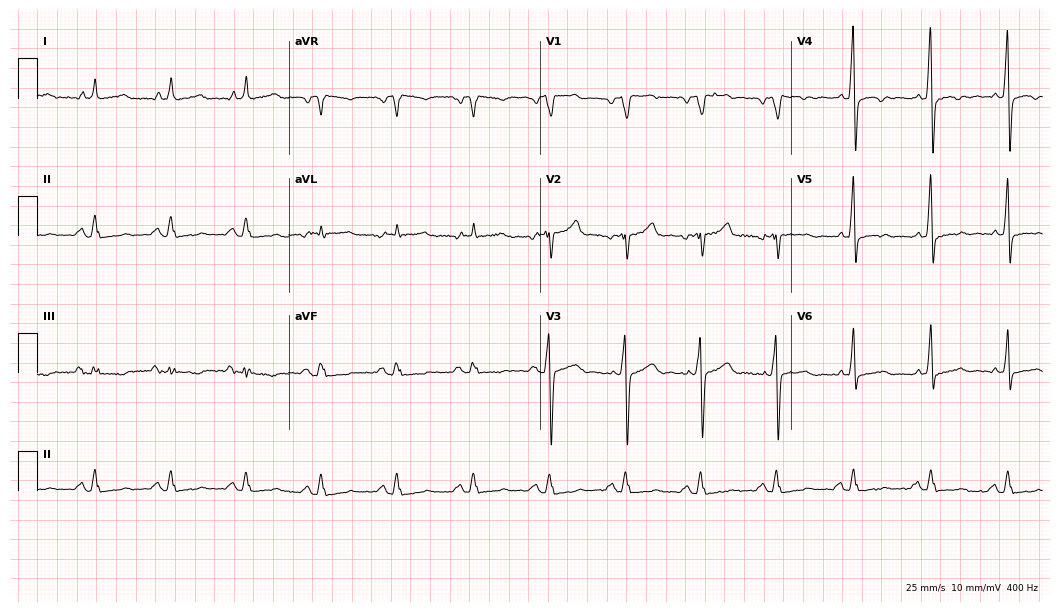
Electrocardiogram (10.2-second recording at 400 Hz), a male, 50 years old. Of the six screened findings (first-degree AV block, right bundle branch block (RBBB), left bundle branch block (LBBB), sinus bradycardia, atrial fibrillation (AF), sinus tachycardia), none is recorded.